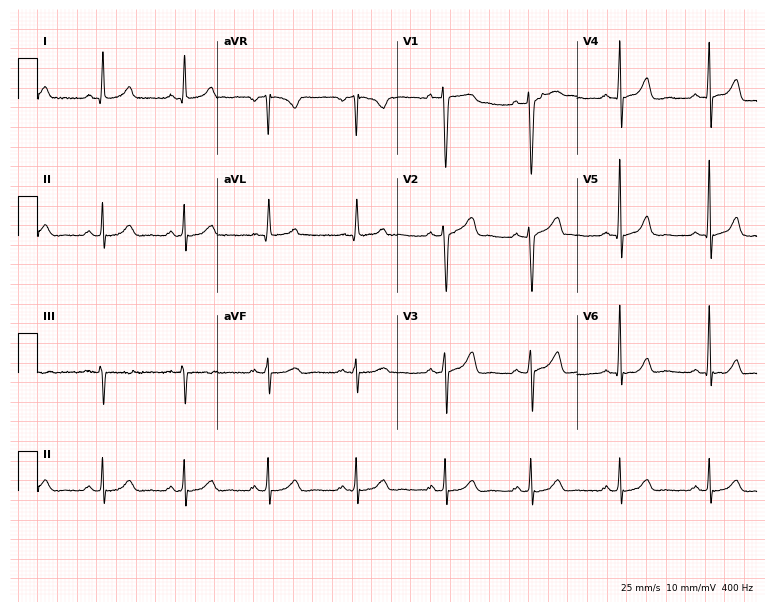
Resting 12-lead electrocardiogram (7.3-second recording at 400 Hz). Patient: a 42-year-old female. Read as a normal ECG.